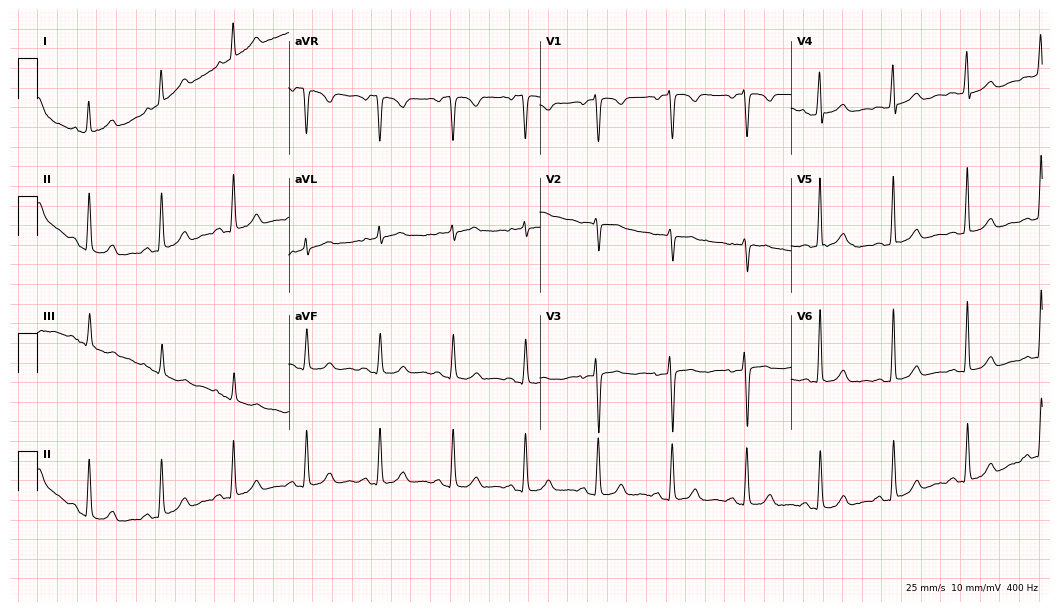
Resting 12-lead electrocardiogram. Patient: an 84-year-old female. Read as a normal ECG.